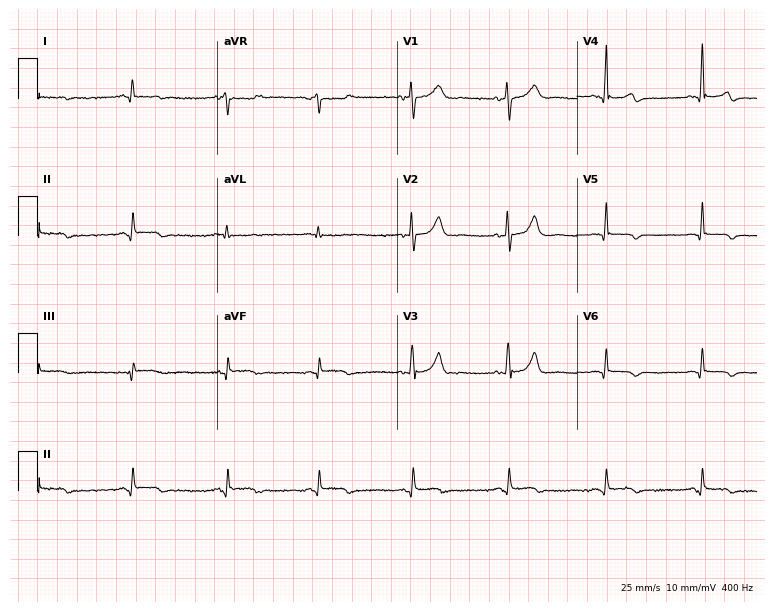
Electrocardiogram, a 77-year-old male patient. Of the six screened findings (first-degree AV block, right bundle branch block (RBBB), left bundle branch block (LBBB), sinus bradycardia, atrial fibrillation (AF), sinus tachycardia), none is recorded. Findings outside these six are not listed.